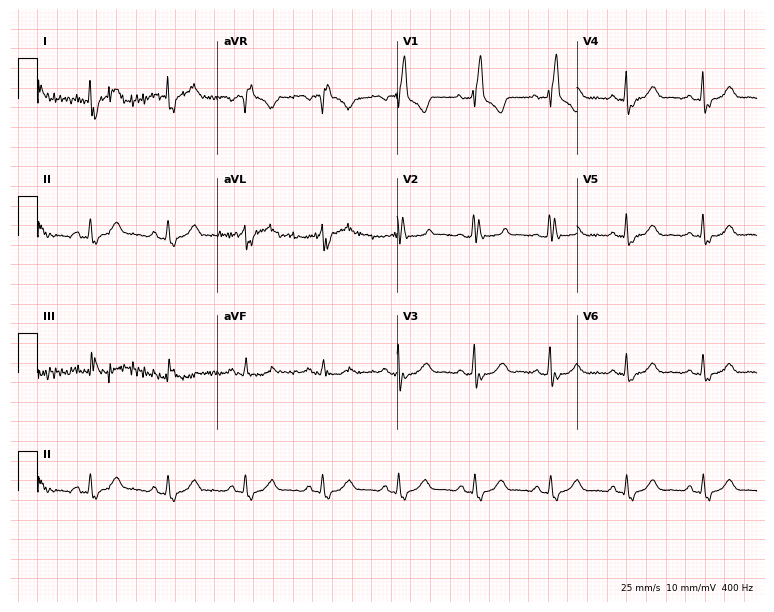
ECG — a 67-year-old male patient. Findings include right bundle branch block.